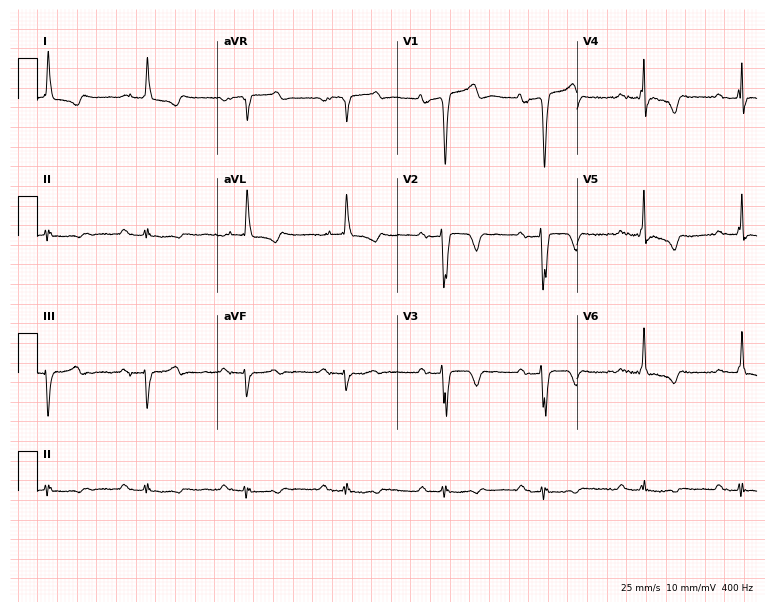
12-lead ECG (7.3-second recording at 400 Hz) from a male patient, 80 years old. Screened for six findings — first-degree AV block, right bundle branch block, left bundle branch block, sinus bradycardia, atrial fibrillation, sinus tachycardia — none is recorded.